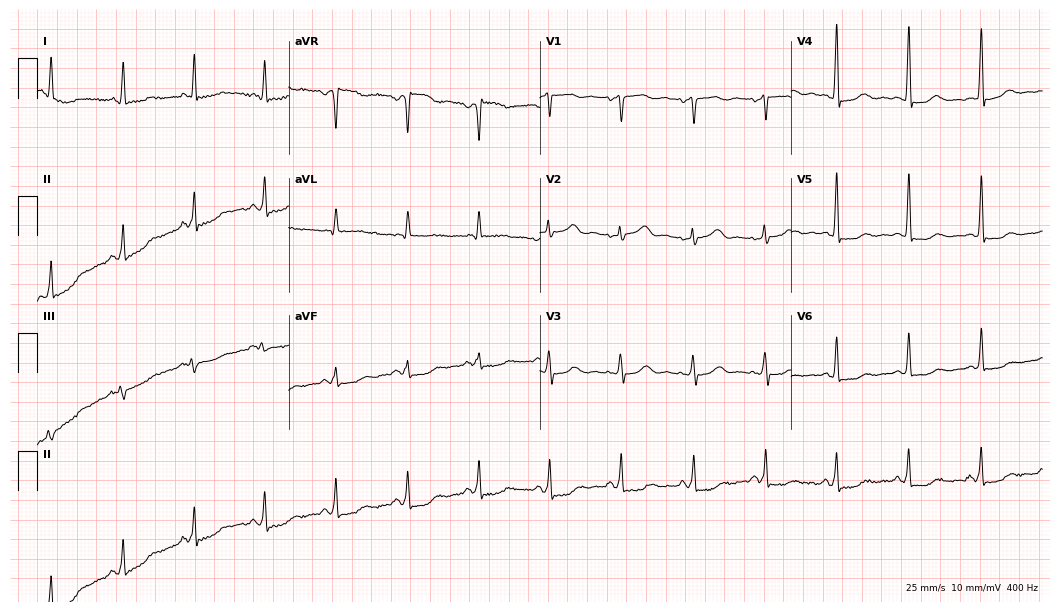
Electrocardiogram, a 76-year-old female. Of the six screened findings (first-degree AV block, right bundle branch block, left bundle branch block, sinus bradycardia, atrial fibrillation, sinus tachycardia), none is recorded.